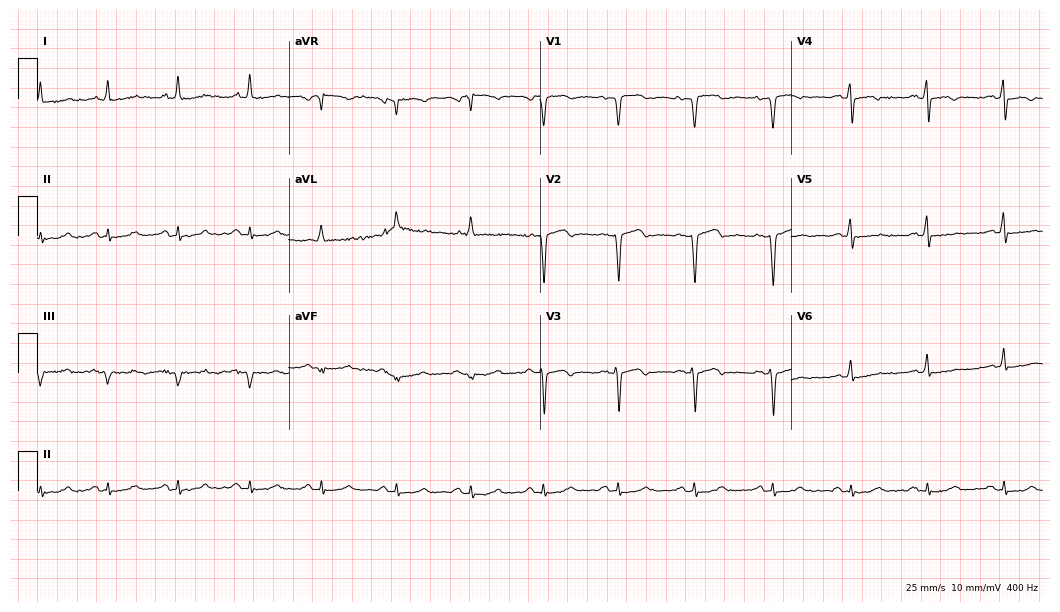
12-lead ECG from a female patient, 61 years old. No first-degree AV block, right bundle branch block, left bundle branch block, sinus bradycardia, atrial fibrillation or sinus tachycardia recorded for this tracing.